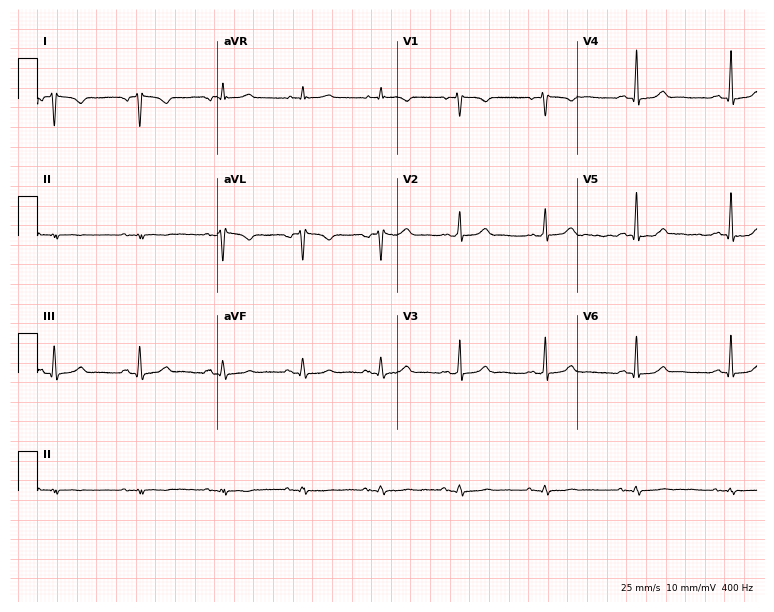
Standard 12-lead ECG recorded from a 45-year-old female patient (7.3-second recording at 400 Hz). None of these six findings is recorded: first-degree AV block, right bundle branch block (RBBB), left bundle branch block (LBBB), sinus bradycardia, atrial fibrillation (AF), sinus tachycardia.